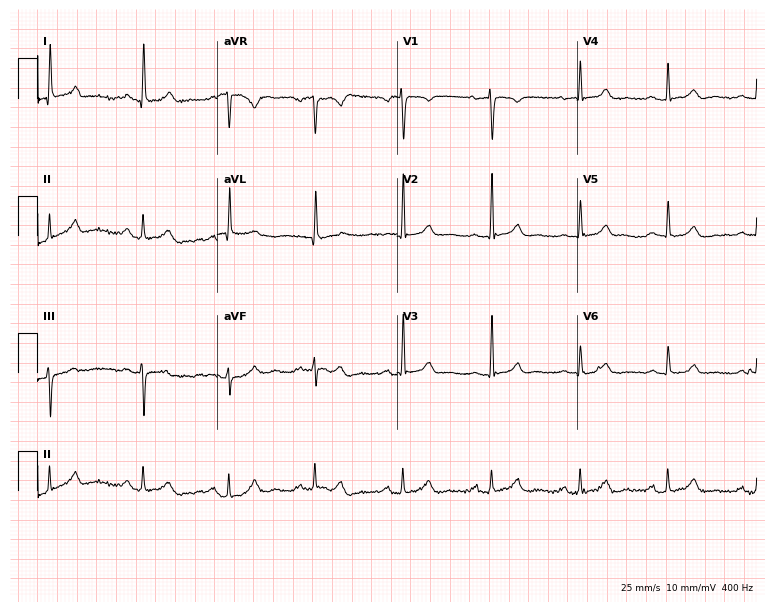
ECG (7.3-second recording at 400 Hz) — a female patient, 47 years old. Screened for six findings — first-degree AV block, right bundle branch block (RBBB), left bundle branch block (LBBB), sinus bradycardia, atrial fibrillation (AF), sinus tachycardia — none is recorded.